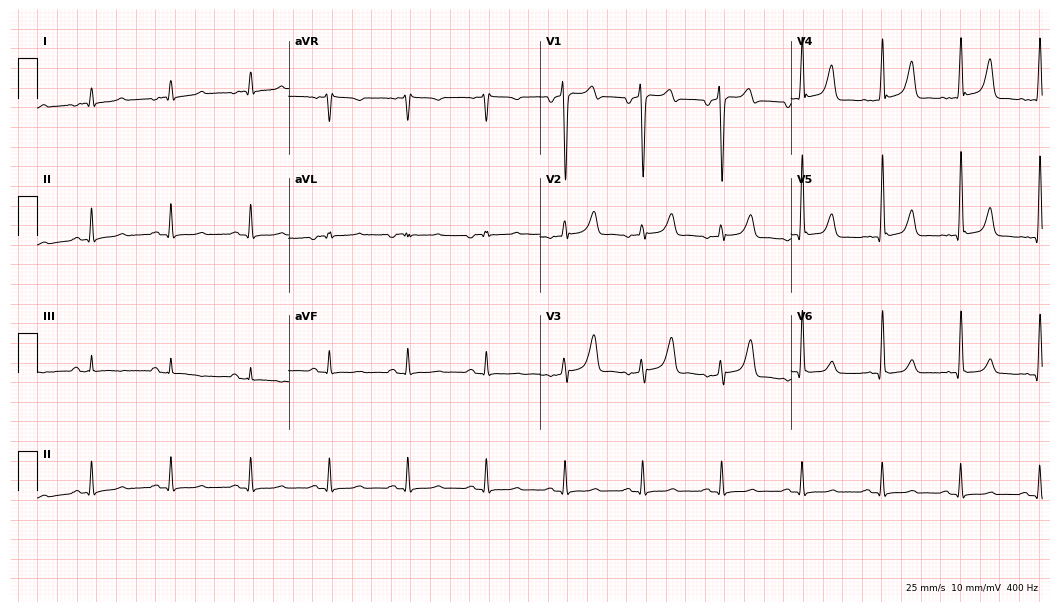
12-lead ECG from a 34-year-old male. Screened for six findings — first-degree AV block, right bundle branch block, left bundle branch block, sinus bradycardia, atrial fibrillation, sinus tachycardia — none is recorded. Only these six findings were labelled.